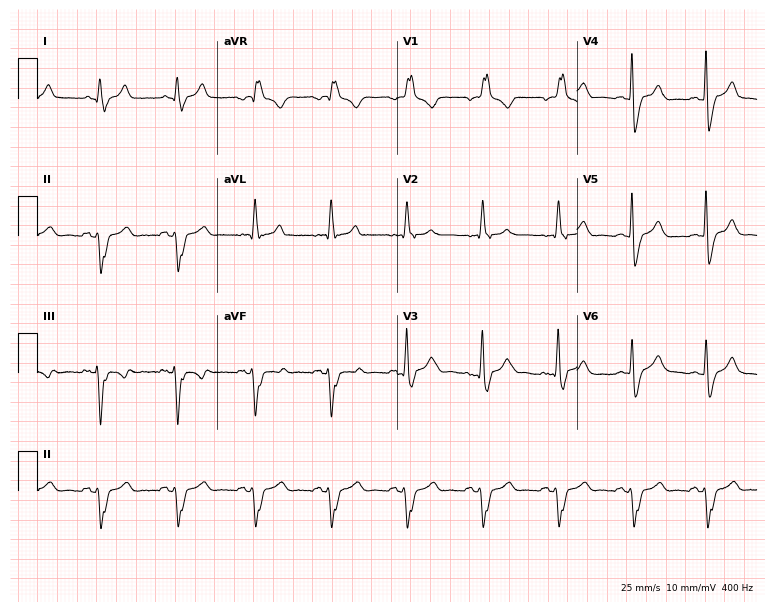
Resting 12-lead electrocardiogram (7.3-second recording at 400 Hz). Patient: a 53-year-old male. The tracing shows right bundle branch block.